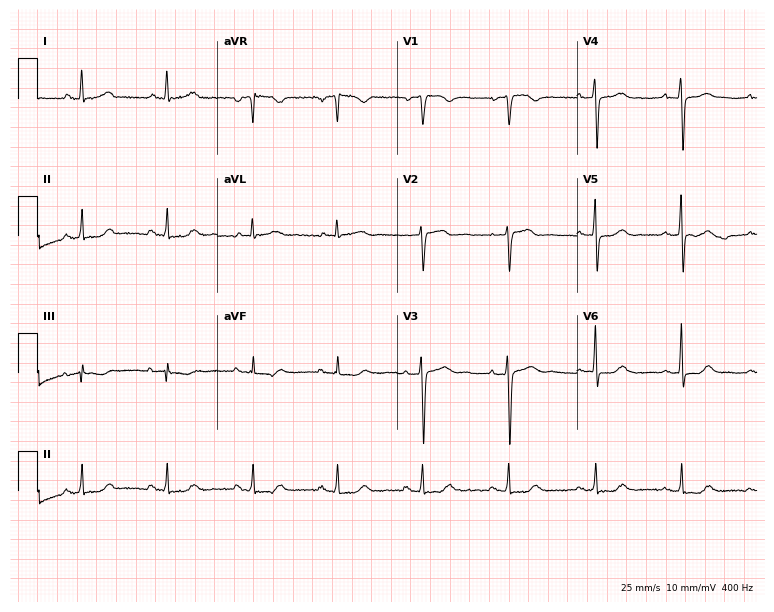
Standard 12-lead ECG recorded from a 71-year-old woman. Read as a normal ECG.